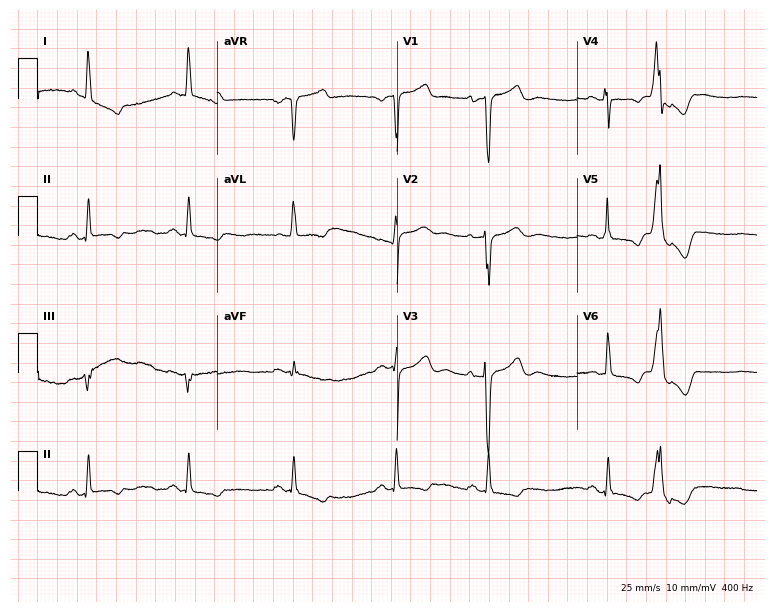
12-lead ECG from a 70-year-old woman. Screened for six findings — first-degree AV block, right bundle branch block (RBBB), left bundle branch block (LBBB), sinus bradycardia, atrial fibrillation (AF), sinus tachycardia — none is recorded. Other findings, if any, are not listed.